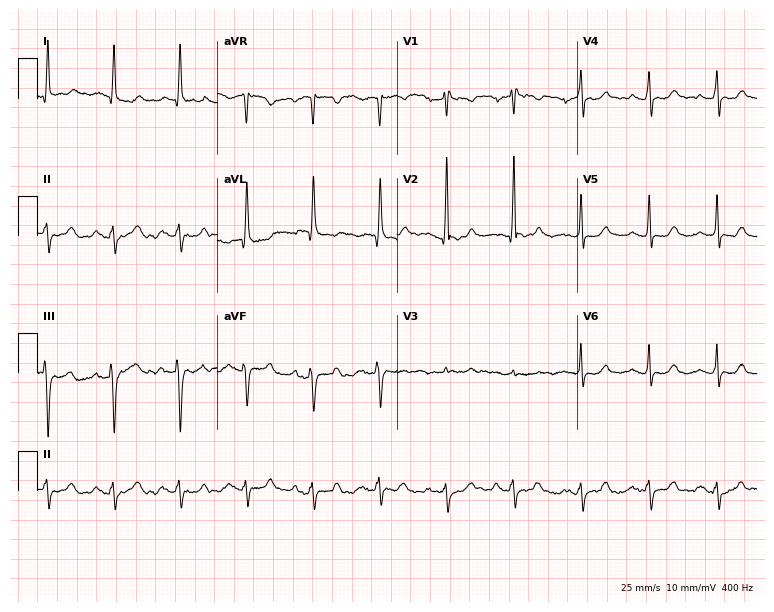
ECG — an 82-year-old woman. Screened for six findings — first-degree AV block, right bundle branch block (RBBB), left bundle branch block (LBBB), sinus bradycardia, atrial fibrillation (AF), sinus tachycardia — none is recorded.